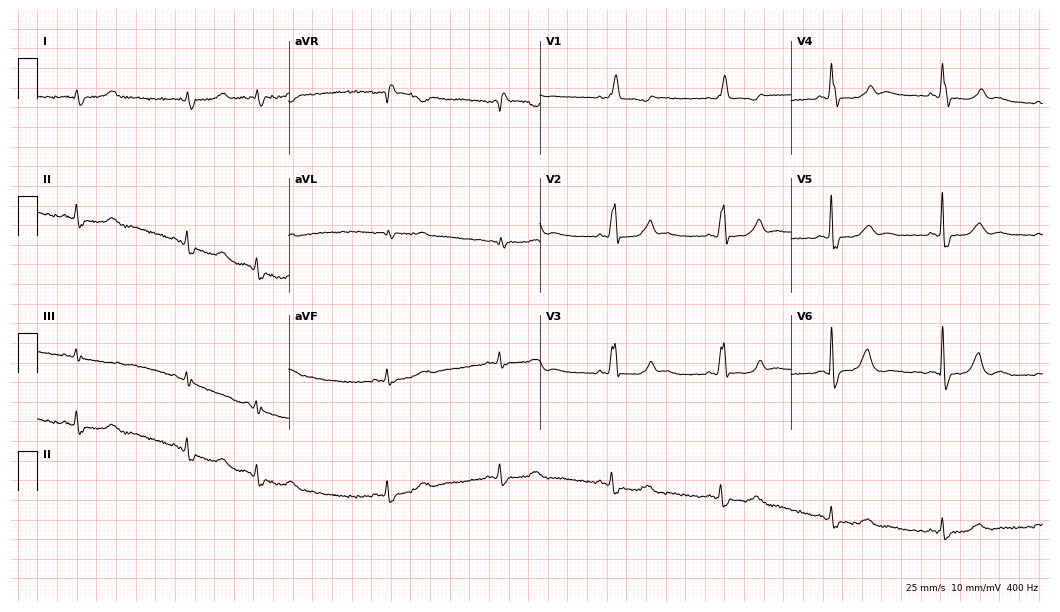
Resting 12-lead electrocardiogram (10.2-second recording at 400 Hz). Patient: a 70-year-old man. None of these six findings is recorded: first-degree AV block, right bundle branch block, left bundle branch block, sinus bradycardia, atrial fibrillation, sinus tachycardia.